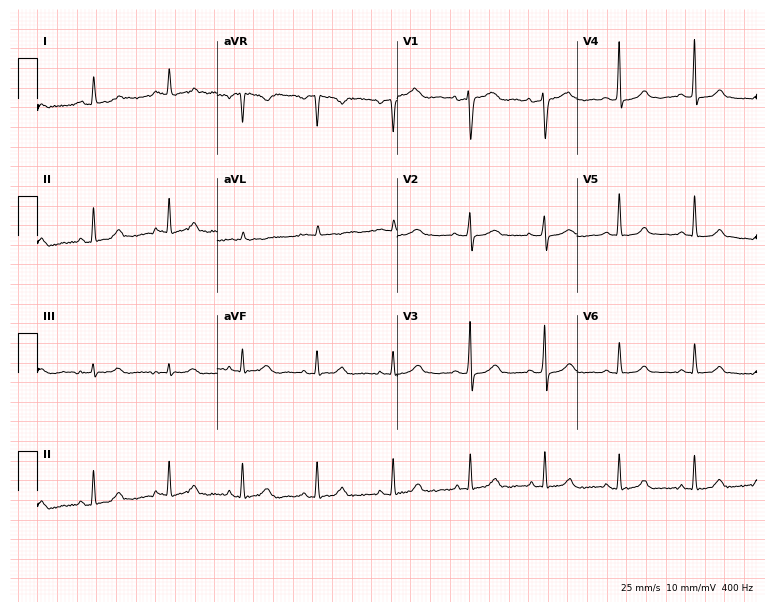
Standard 12-lead ECG recorded from a female patient, 44 years old. None of these six findings is recorded: first-degree AV block, right bundle branch block, left bundle branch block, sinus bradycardia, atrial fibrillation, sinus tachycardia.